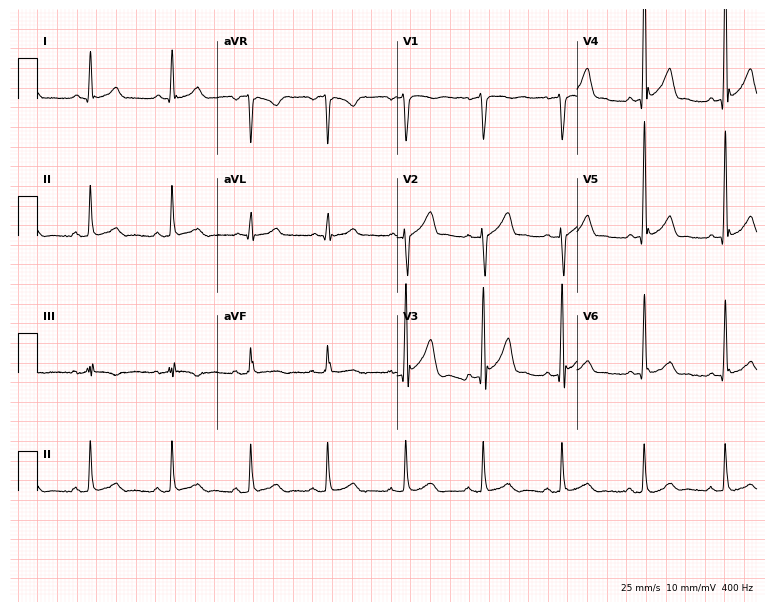
12-lead ECG from a man, 42 years old. Screened for six findings — first-degree AV block, right bundle branch block, left bundle branch block, sinus bradycardia, atrial fibrillation, sinus tachycardia — none is recorded.